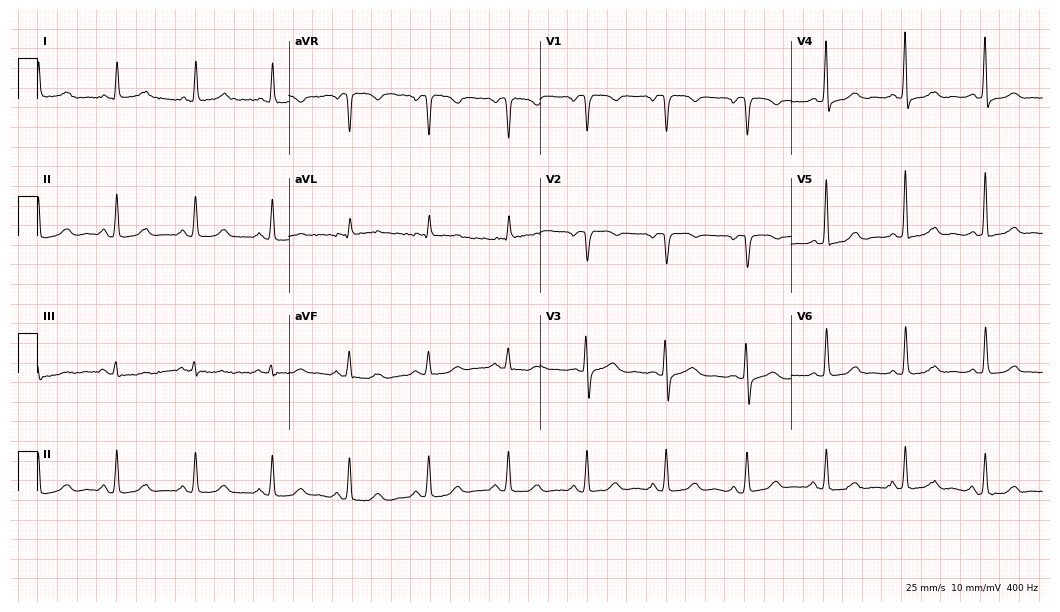
12-lead ECG from a 61-year-old female. Recorded interpretation: within normal limits.